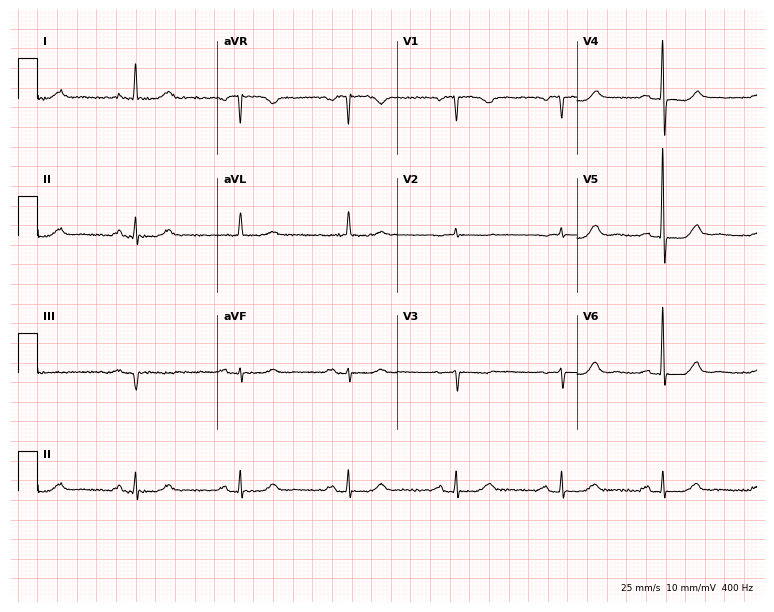
12-lead ECG from a female patient, 71 years old (7.3-second recording at 400 Hz). Shows first-degree AV block.